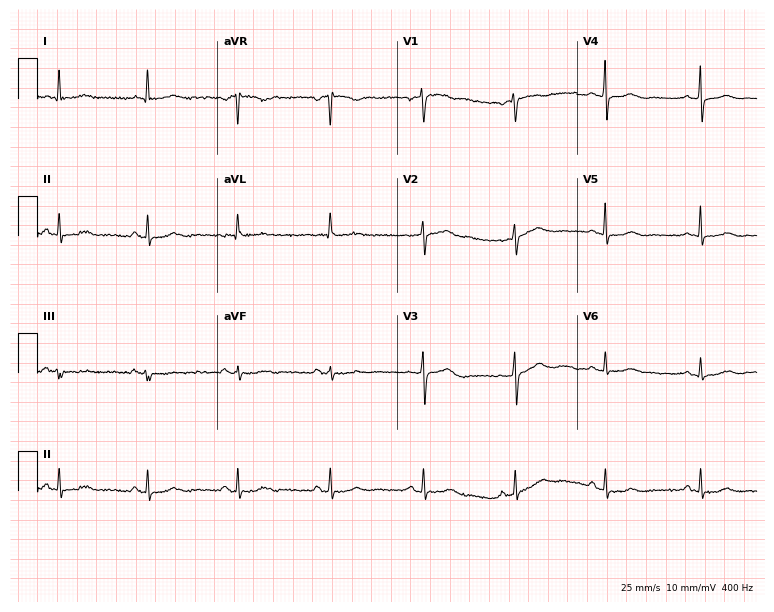
ECG (7.3-second recording at 400 Hz) — a female patient, 66 years old. Labelled as a normal ECG.